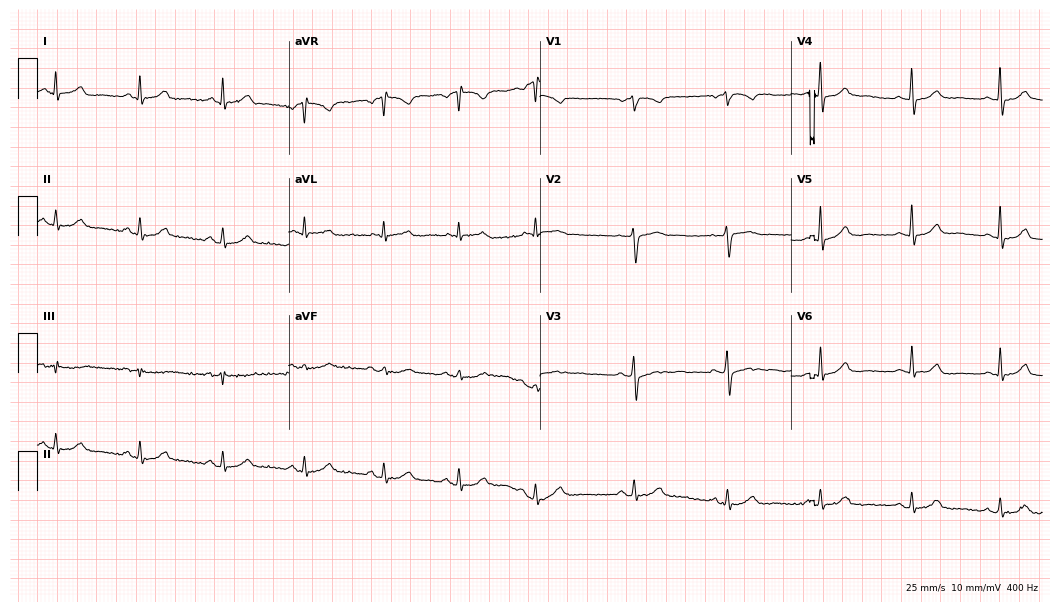
12-lead ECG from a 56-year-old male. Recorded interpretation: within normal limits.